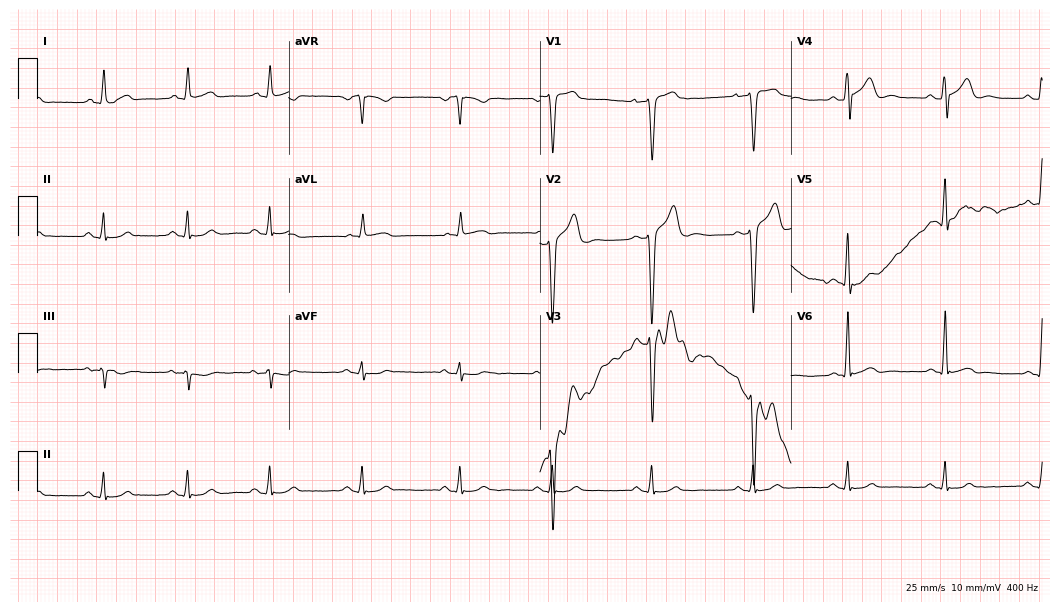
Electrocardiogram, a 21-year-old male patient. Of the six screened findings (first-degree AV block, right bundle branch block, left bundle branch block, sinus bradycardia, atrial fibrillation, sinus tachycardia), none is recorded.